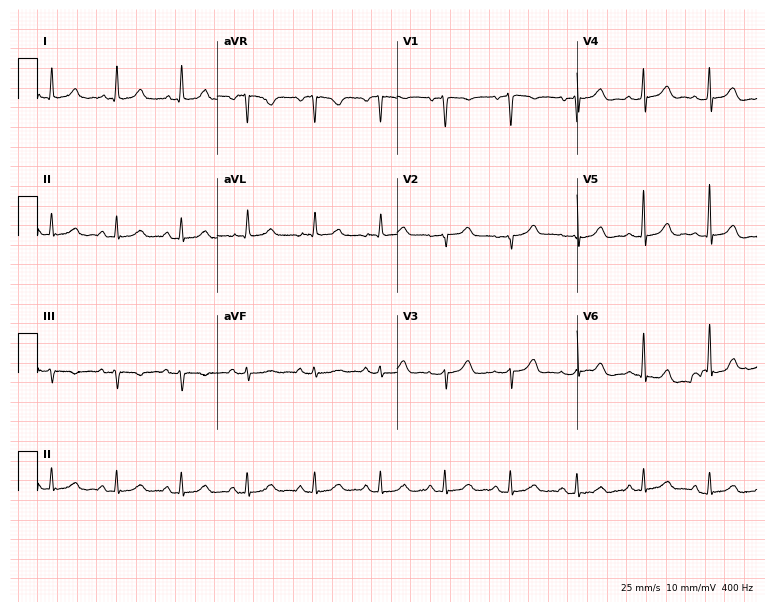
12-lead ECG (7.3-second recording at 400 Hz) from a 73-year-old woman. Screened for six findings — first-degree AV block, right bundle branch block, left bundle branch block, sinus bradycardia, atrial fibrillation, sinus tachycardia — none is recorded.